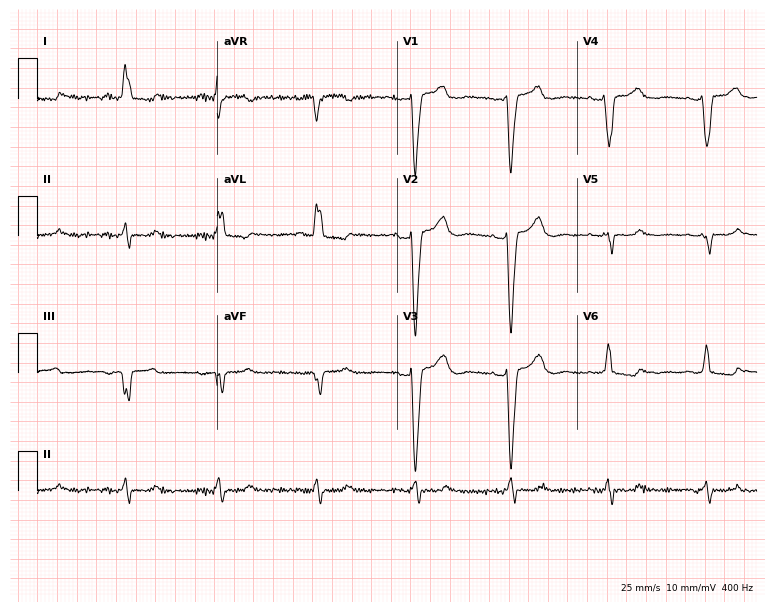
12-lead ECG from a woman, 52 years old. Shows left bundle branch block (LBBB).